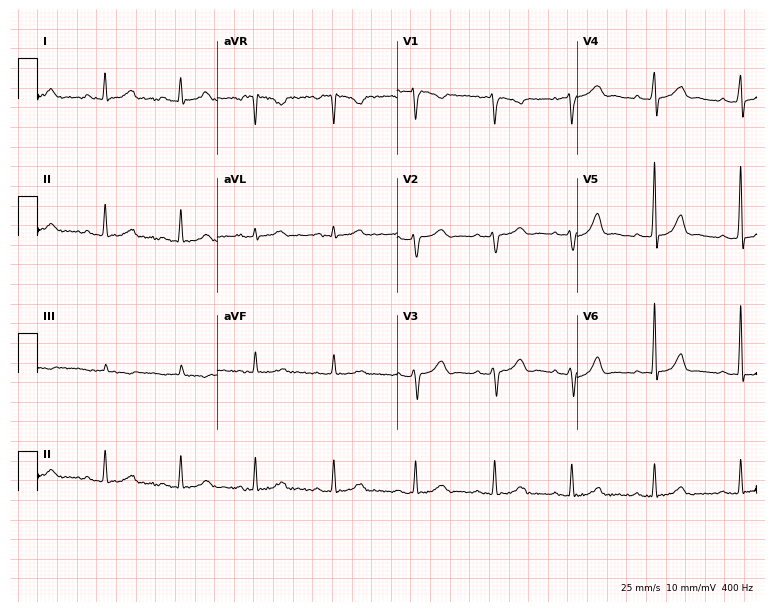
12-lead ECG from a woman, 39 years old. No first-degree AV block, right bundle branch block, left bundle branch block, sinus bradycardia, atrial fibrillation or sinus tachycardia recorded for this tracing.